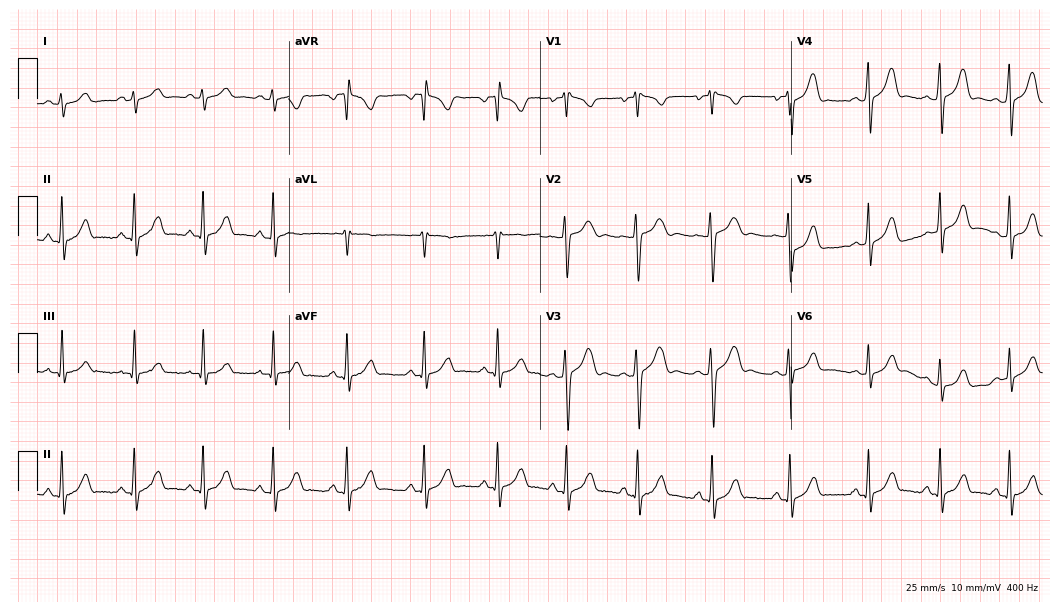
Standard 12-lead ECG recorded from a 17-year-old female (10.2-second recording at 400 Hz). Read as a normal ECG.